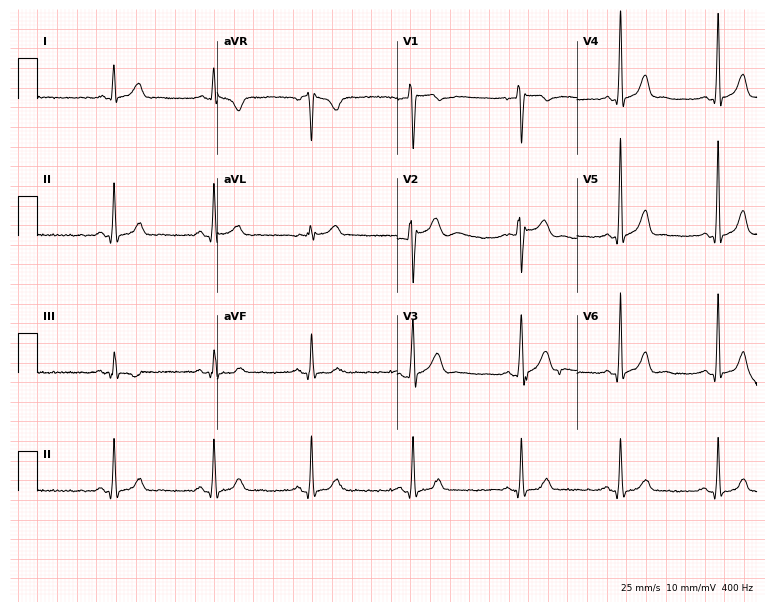
12-lead ECG from a 24-year-old male. Labelled as a normal ECG.